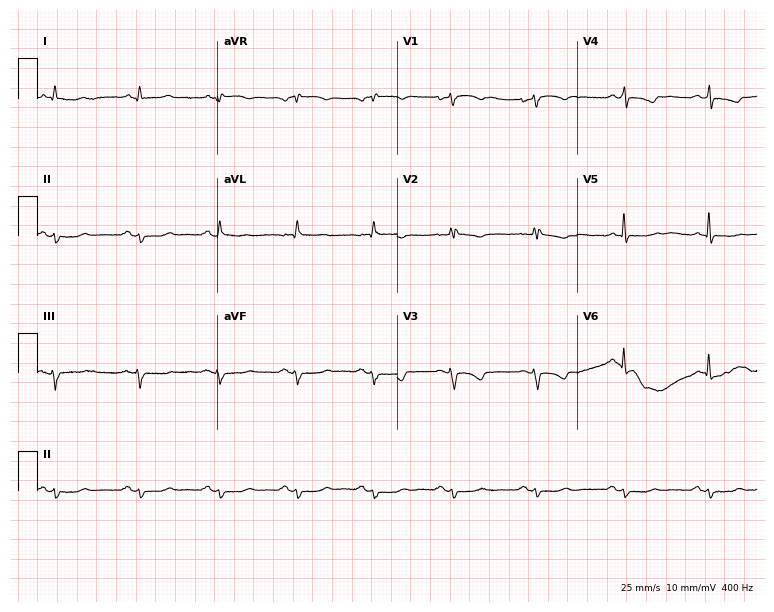
Electrocardiogram (7.3-second recording at 400 Hz), a female, 58 years old. Of the six screened findings (first-degree AV block, right bundle branch block, left bundle branch block, sinus bradycardia, atrial fibrillation, sinus tachycardia), none is recorded.